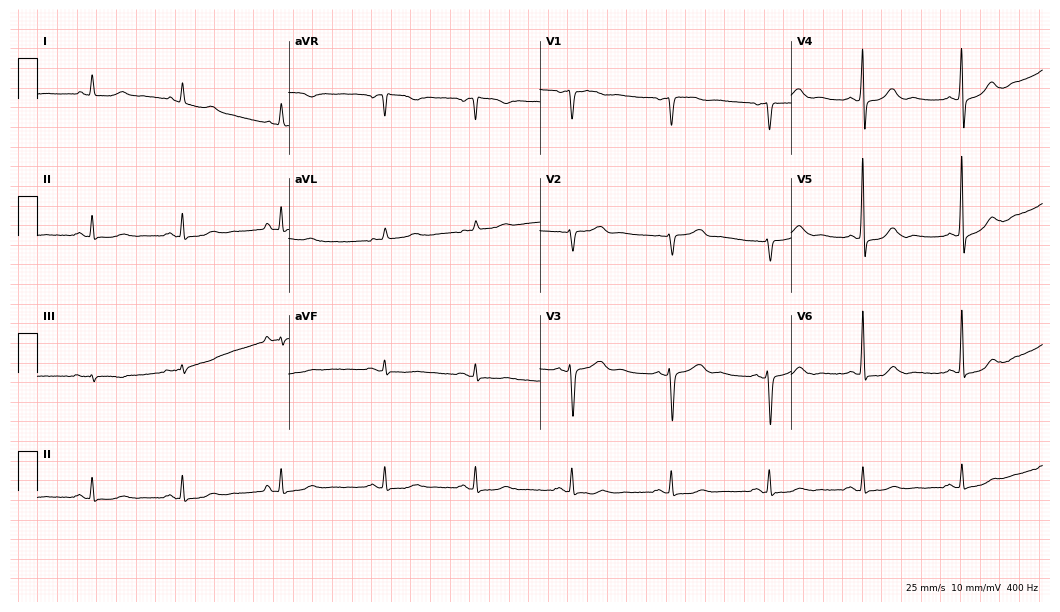
Standard 12-lead ECG recorded from an 80-year-old female patient (10.2-second recording at 400 Hz). None of these six findings is recorded: first-degree AV block, right bundle branch block, left bundle branch block, sinus bradycardia, atrial fibrillation, sinus tachycardia. Other findings, if any, are not listed.